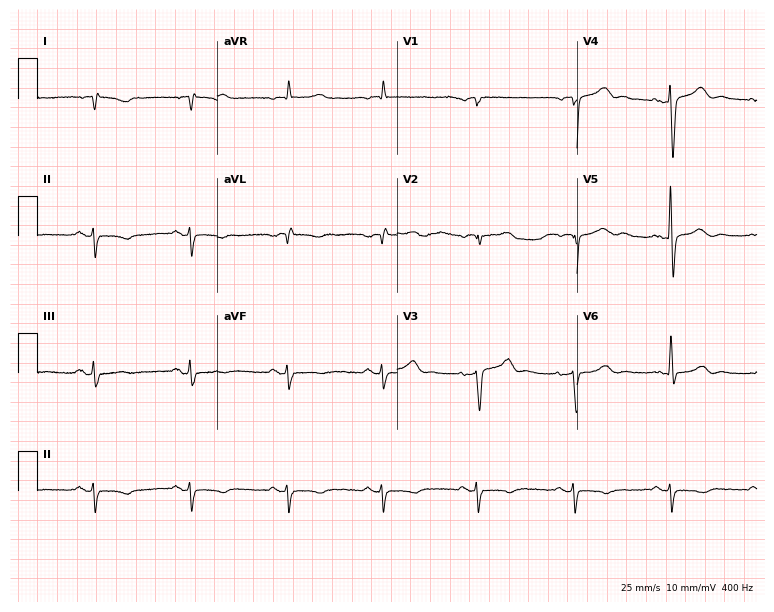
ECG (7.3-second recording at 400 Hz) — a male, 73 years old. Screened for six findings — first-degree AV block, right bundle branch block, left bundle branch block, sinus bradycardia, atrial fibrillation, sinus tachycardia — none is recorded. Findings outside these six are not listed.